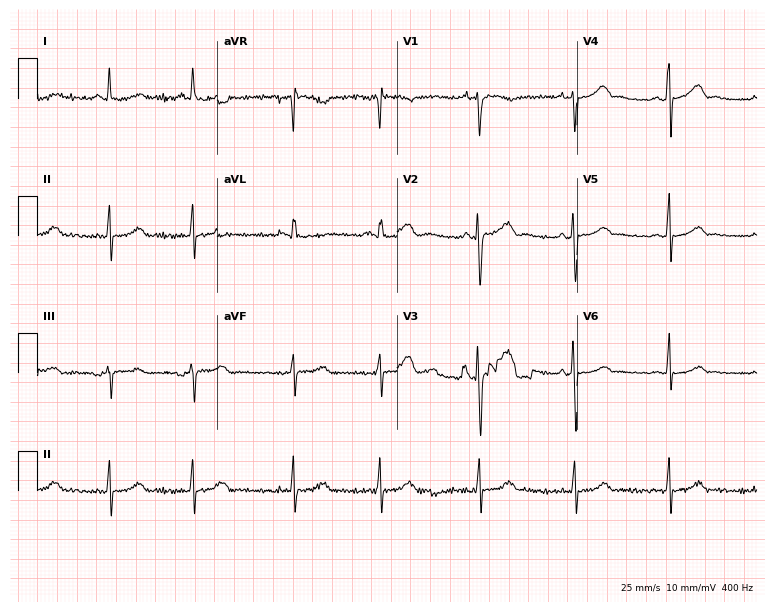
Standard 12-lead ECG recorded from a woman, 23 years old (7.3-second recording at 400 Hz). None of these six findings is recorded: first-degree AV block, right bundle branch block, left bundle branch block, sinus bradycardia, atrial fibrillation, sinus tachycardia. Other findings, if any, are not listed.